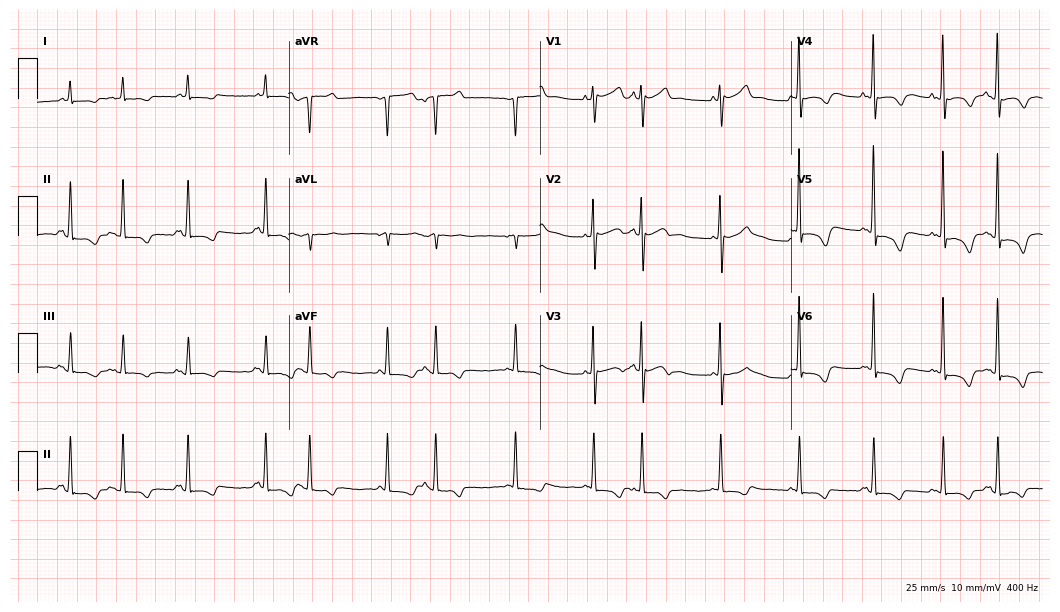
Standard 12-lead ECG recorded from a woman, 65 years old (10.2-second recording at 400 Hz). None of these six findings is recorded: first-degree AV block, right bundle branch block, left bundle branch block, sinus bradycardia, atrial fibrillation, sinus tachycardia. Only these six findings were labelled.